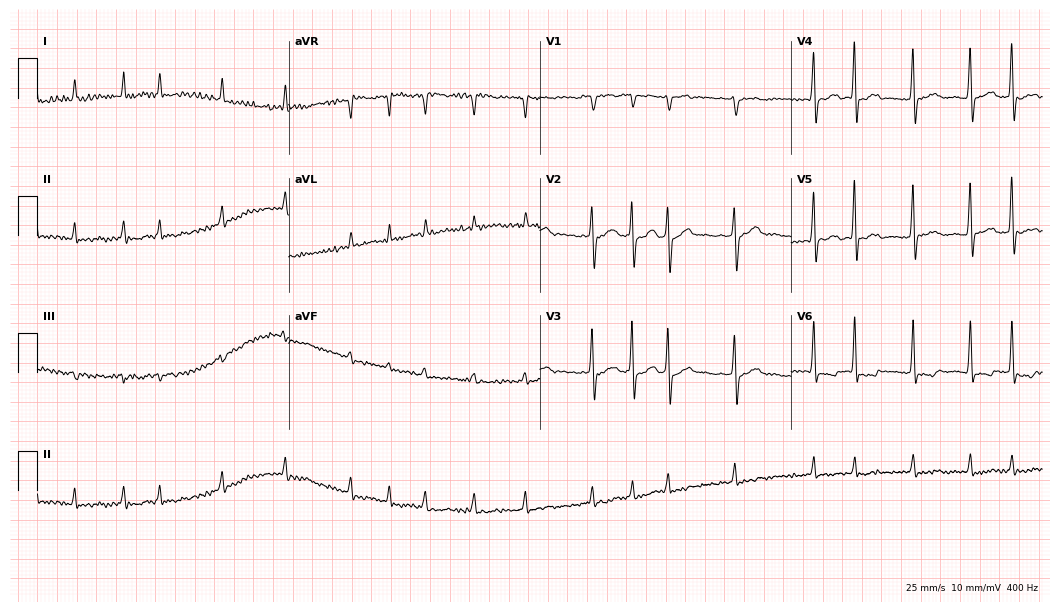
Standard 12-lead ECG recorded from a male, 77 years old (10.2-second recording at 400 Hz). The tracing shows atrial fibrillation.